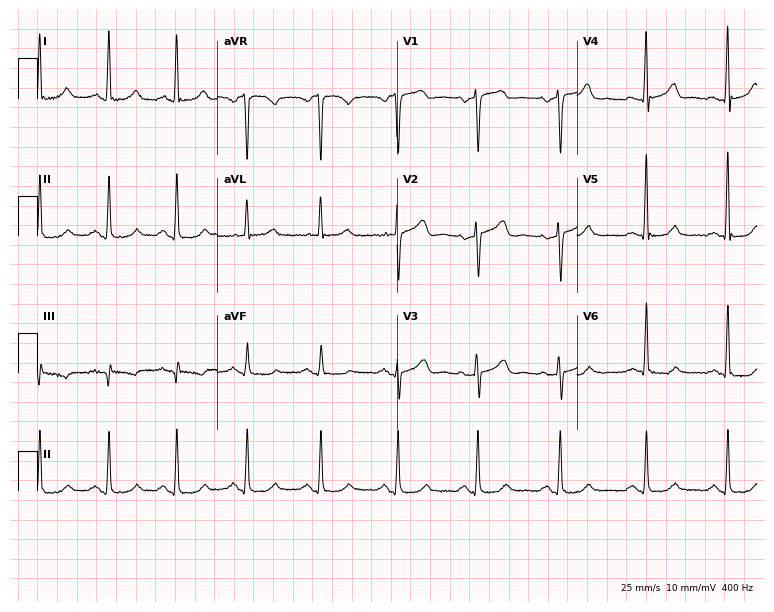
Electrocardiogram, a 48-year-old female patient. Overall reading on record: normal ECG.